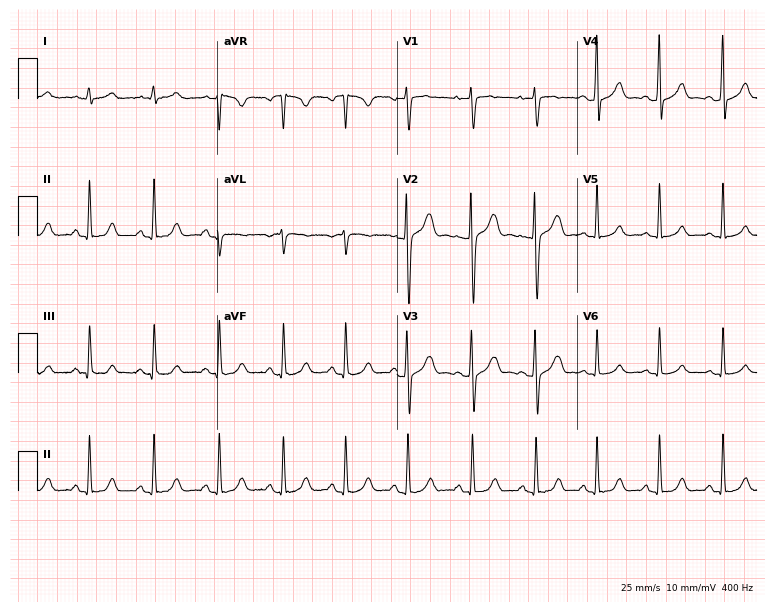
ECG — a 25-year-old female. Labelled as a normal ECG.